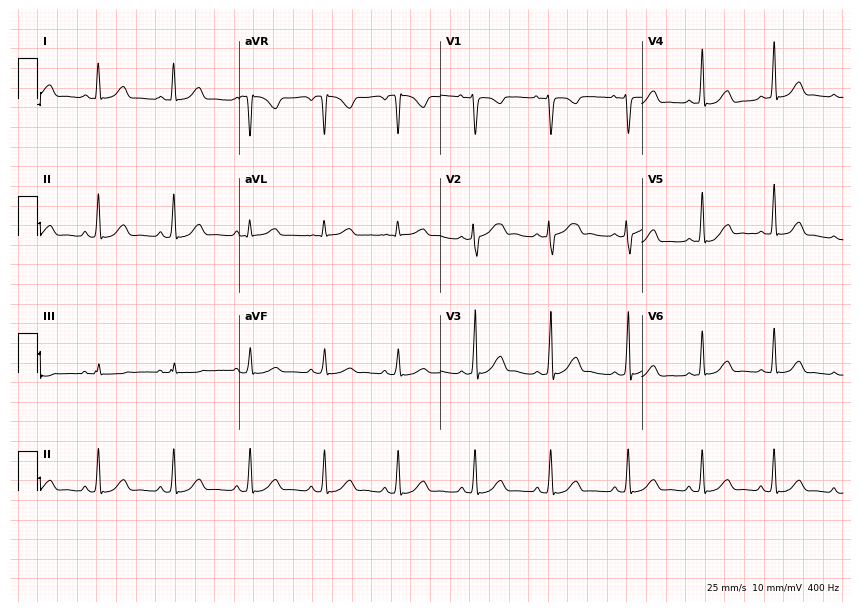
Standard 12-lead ECG recorded from a woman, 26 years old. None of these six findings is recorded: first-degree AV block, right bundle branch block, left bundle branch block, sinus bradycardia, atrial fibrillation, sinus tachycardia. Only these six findings were labelled.